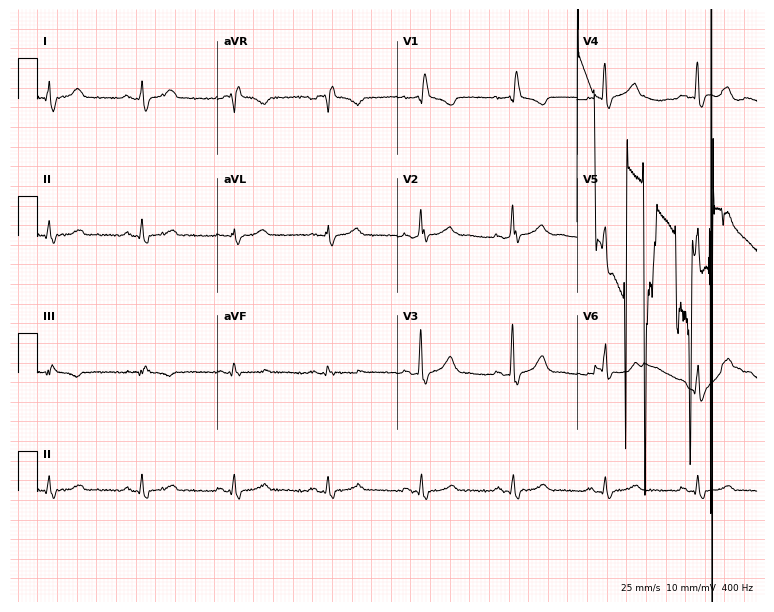
Electrocardiogram (7.3-second recording at 400 Hz), a 40-year-old female patient. Of the six screened findings (first-degree AV block, right bundle branch block (RBBB), left bundle branch block (LBBB), sinus bradycardia, atrial fibrillation (AF), sinus tachycardia), none is recorded. Other findings, if any, are not listed.